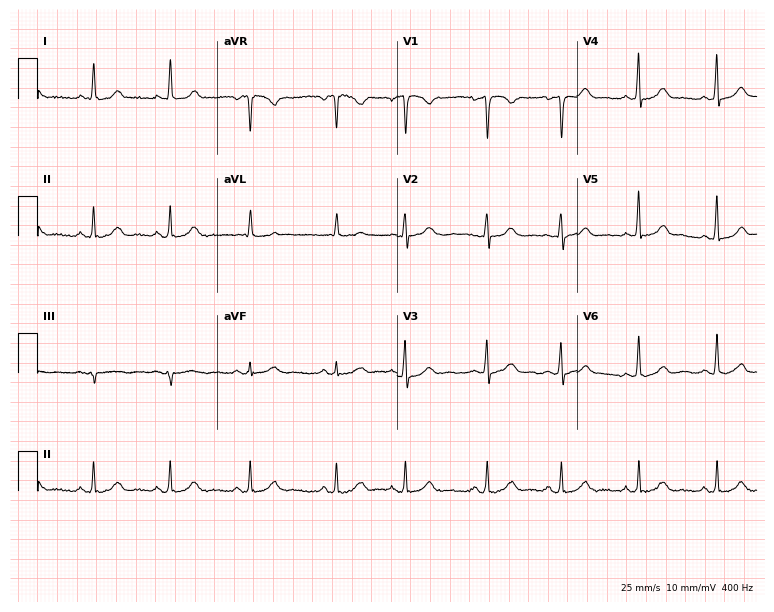
Standard 12-lead ECG recorded from a 53-year-old woman (7.3-second recording at 400 Hz). None of these six findings is recorded: first-degree AV block, right bundle branch block, left bundle branch block, sinus bradycardia, atrial fibrillation, sinus tachycardia. Other findings, if any, are not listed.